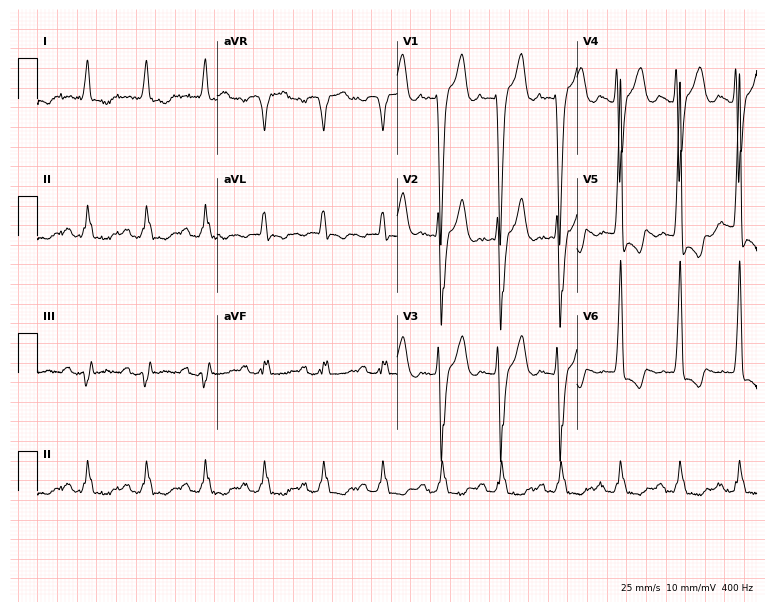
12-lead ECG (7.3-second recording at 400 Hz) from a male patient, 82 years old. Findings include left bundle branch block (LBBB).